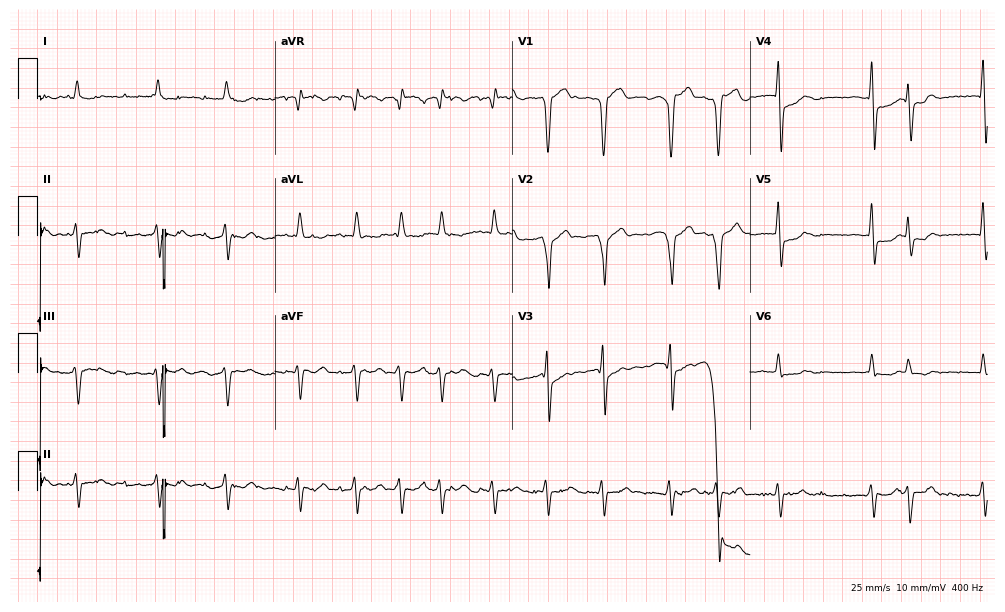
Resting 12-lead electrocardiogram. Patient: an 82-year-old man. None of these six findings is recorded: first-degree AV block, right bundle branch block, left bundle branch block, sinus bradycardia, atrial fibrillation, sinus tachycardia. Findings outside these six are not listed.